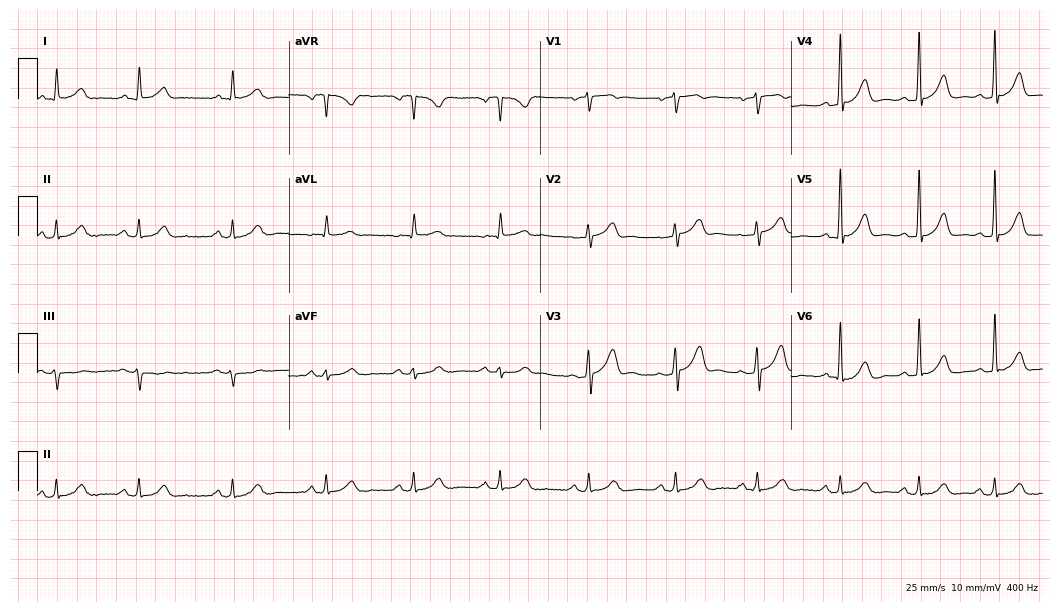
12-lead ECG from a male patient, 66 years old. Recorded interpretation: within normal limits.